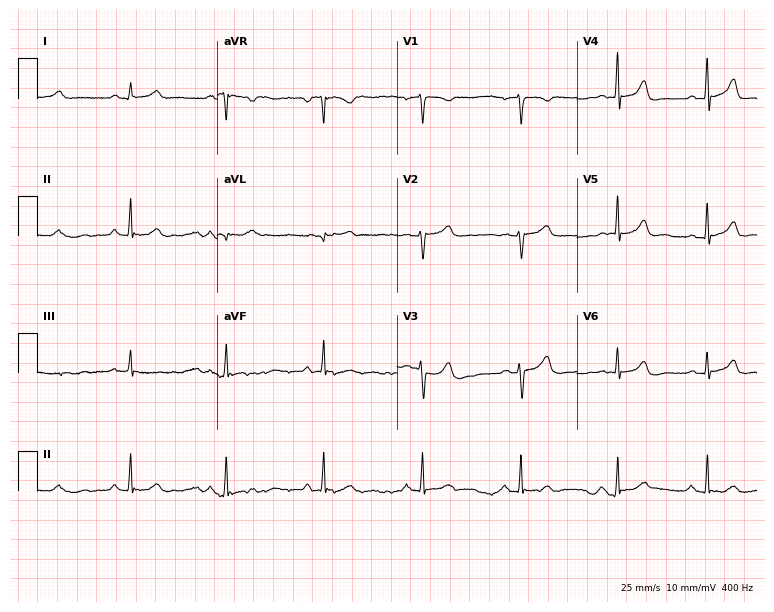
Electrocardiogram (7.3-second recording at 400 Hz), a 29-year-old female patient. Of the six screened findings (first-degree AV block, right bundle branch block, left bundle branch block, sinus bradycardia, atrial fibrillation, sinus tachycardia), none is recorded. Other findings, if any, are not listed.